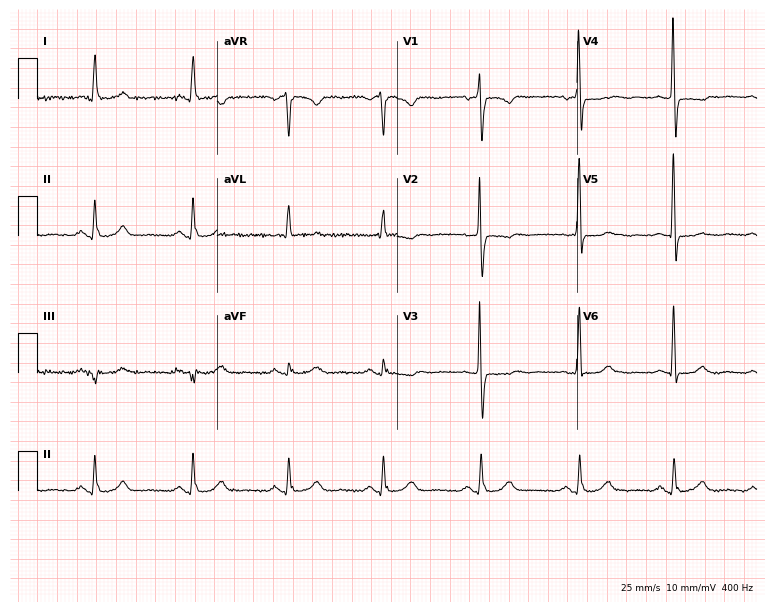
Resting 12-lead electrocardiogram (7.3-second recording at 400 Hz). Patient: a female, 61 years old. Read as a normal ECG.